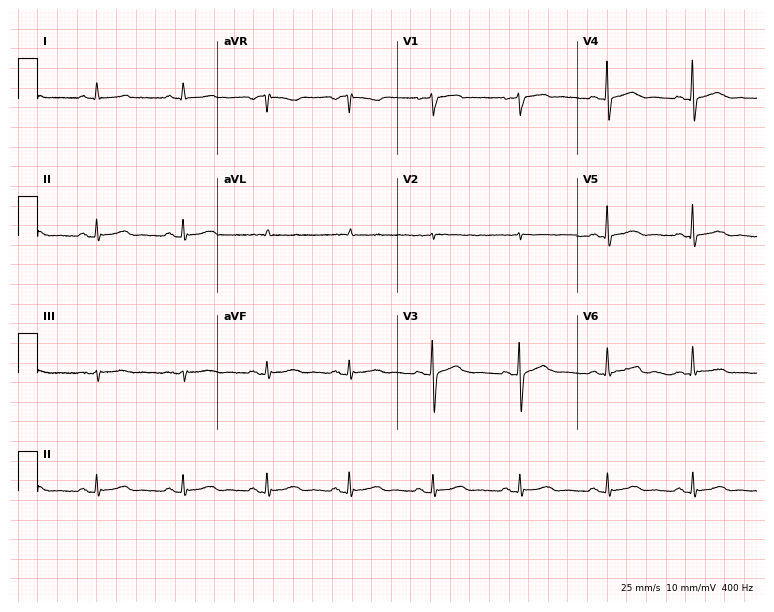
Resting 12-lead electrocardiogram. Patient: a 68-year-old female. None of these six findings is recorded: first-degree AV block, right bundle branch block (RBBB), left bundle branch block (LBBB), sinus bradycardia, atrial fibrillation (AF), sinus tachycardia. Only these six findings were labelled.